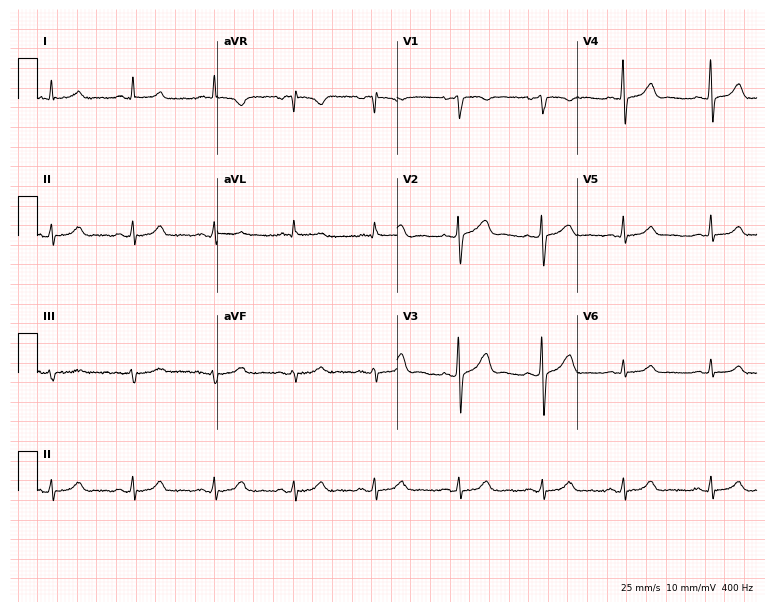
Resting 12-lead electrocardiogram. Patient: a female, 35 years old. Read as a normal ECG.